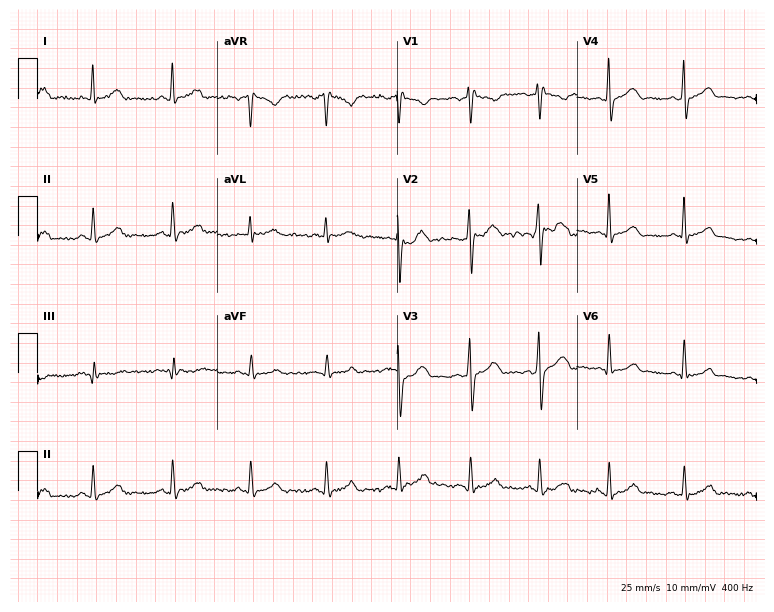
12-lead ECG (7.3-second recording at 400 Hz) from a 26-year-old male patient. Screened for six findings — first-degree AV block, right bundle branch block, left bundle branch block, sinus bradycardia, atrial fibrillation, sinus tachycardia — none is recorded. Other findings, if any, are not listed.